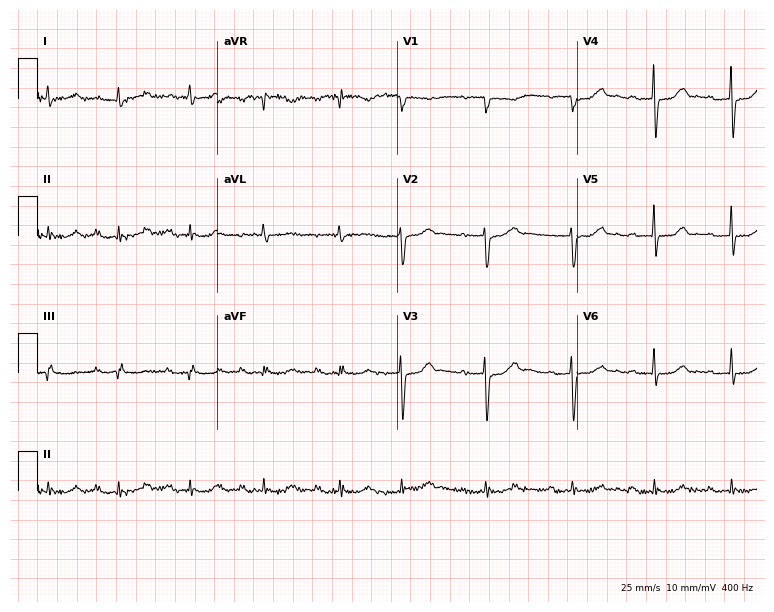
ECG (7.3-second recording at 400 Hz) — a male, 85 years old. Findings include first-degree AV block.